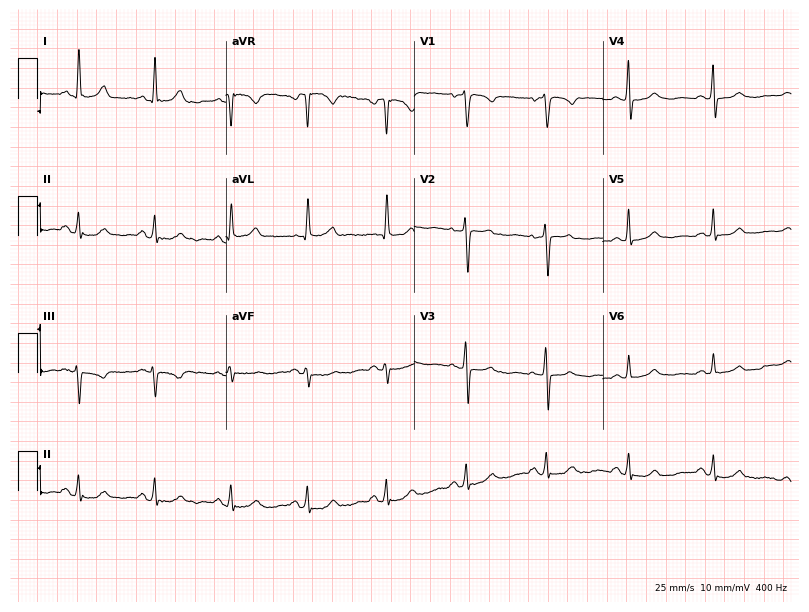
ECG (7.7-second recording at 400 Hz) — a woman, 59 years old. Screened for six findings — first-degree AV block, right bundle branch block (RBBB), left bundle branch block (LBBB), sinus bradycardia, atrial fibrillation (AF), sinus tachycardia — none is recorded.